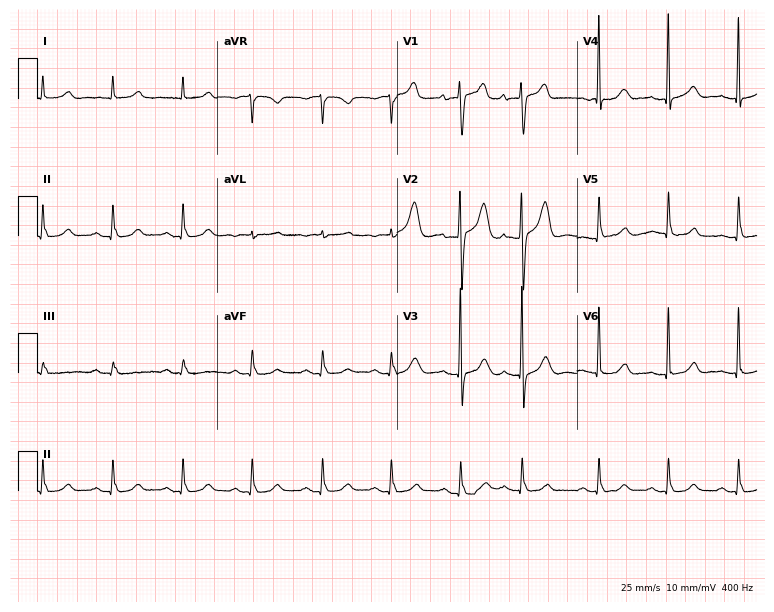
Electrocardiogram, an 84-year-old female. Overall reading on record: normal ECG.